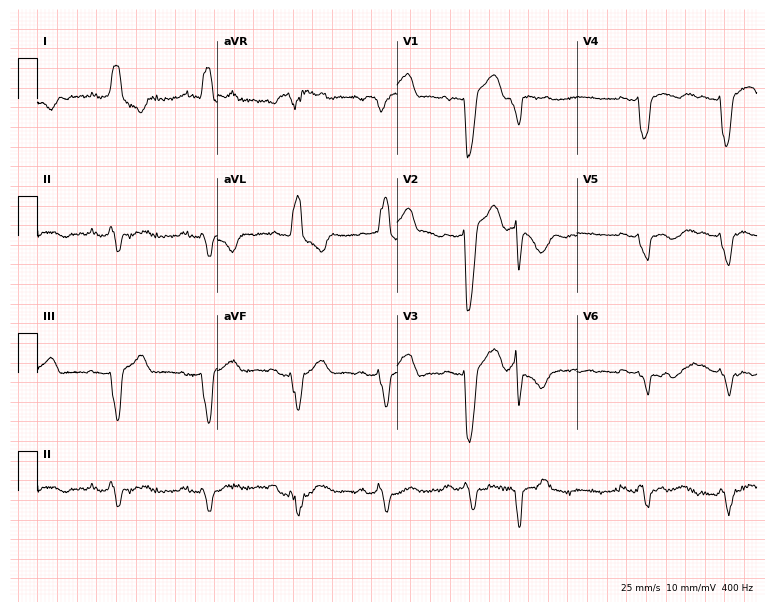
Electrocardiogram, a male patient, 66 years old. Interpretation includes left bundle branch block.